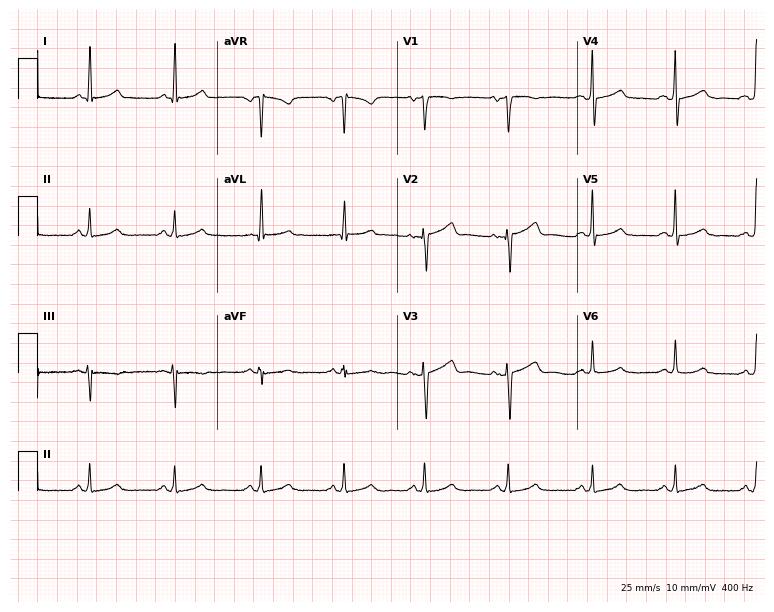
Resting 12-lead electrocardiogram (7.3-second recording at 400 Hz). Patient: a female, 50 years old. Read as a normal ECG.